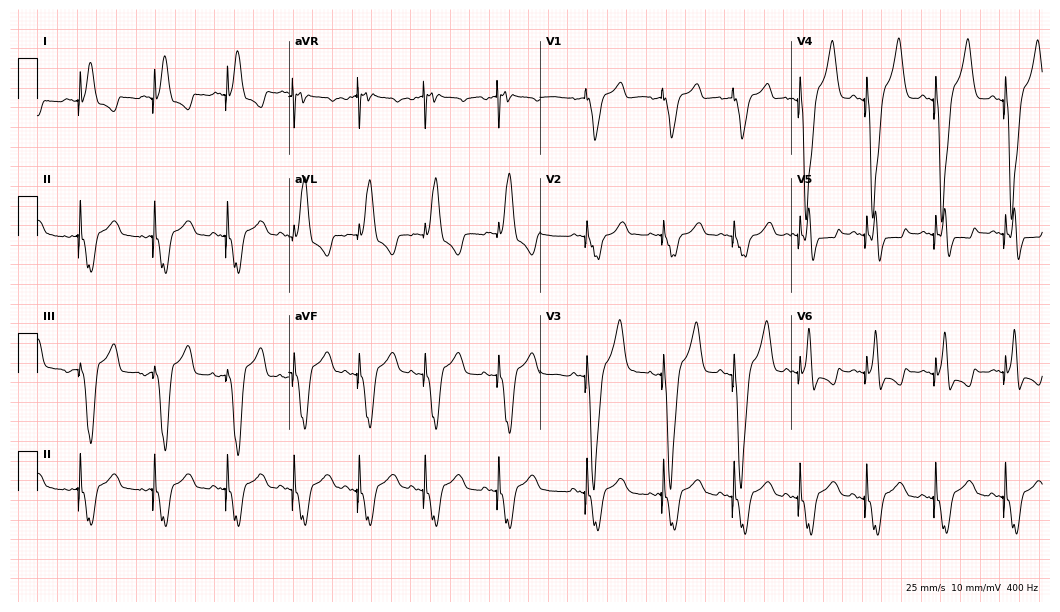
ECG (10.2-second recording at 400 Hz) — an 80-year-old woman. Screened for six findings — first-degree AV block, right bundle branch block (RBBB), left bundle branch block (LBBB), sinus bradycardia, atrial fibrillation (AF), sinus tachycardia — none is recorded. Findings outside these six are not listed.